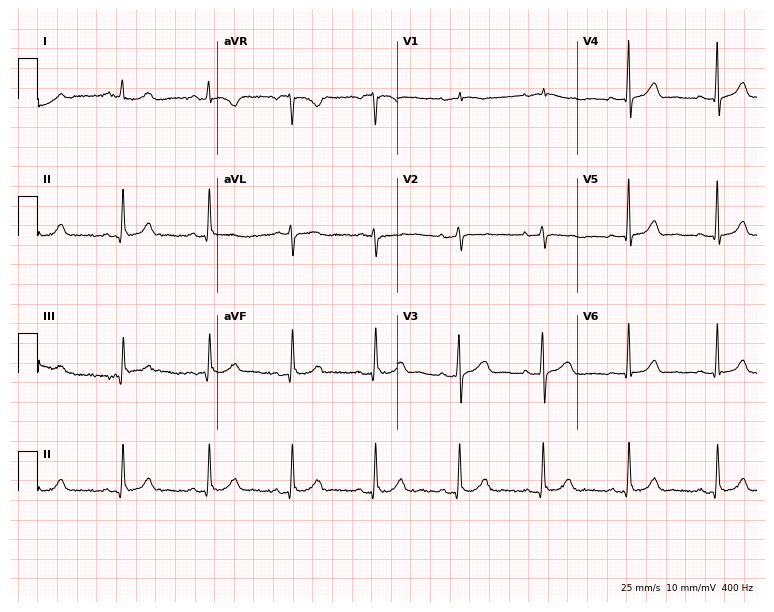
Electrocardiogram (7.3-second recording at 400 Hz), a 54-year-old woman. Of the six screened findings (first-degree AV block, right bundle branch block, left bundle branch block, sinus bradycardia, atrial fibrillation, sinus tachycardia), none is recorded. Findings outside these six are not listed.